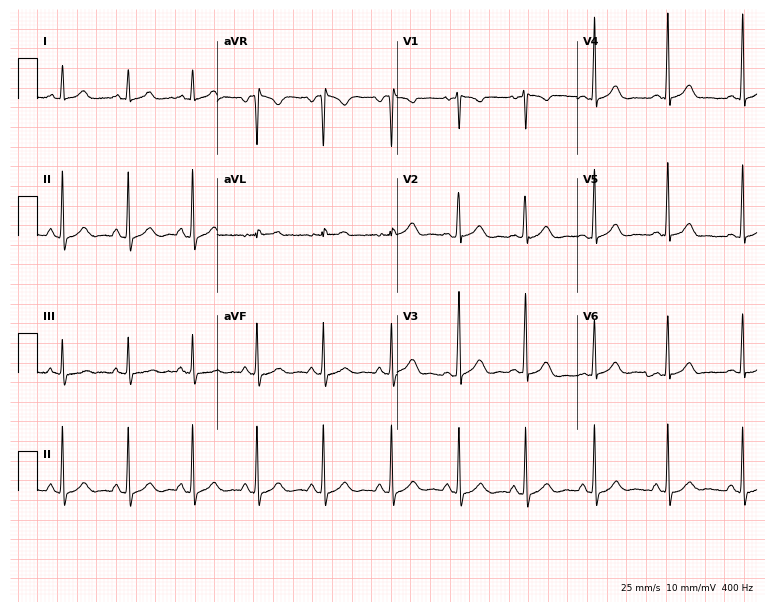
Resting 12-lead electrocardiogram. Patient: a 24-year-old female. Read as a normal ECG.